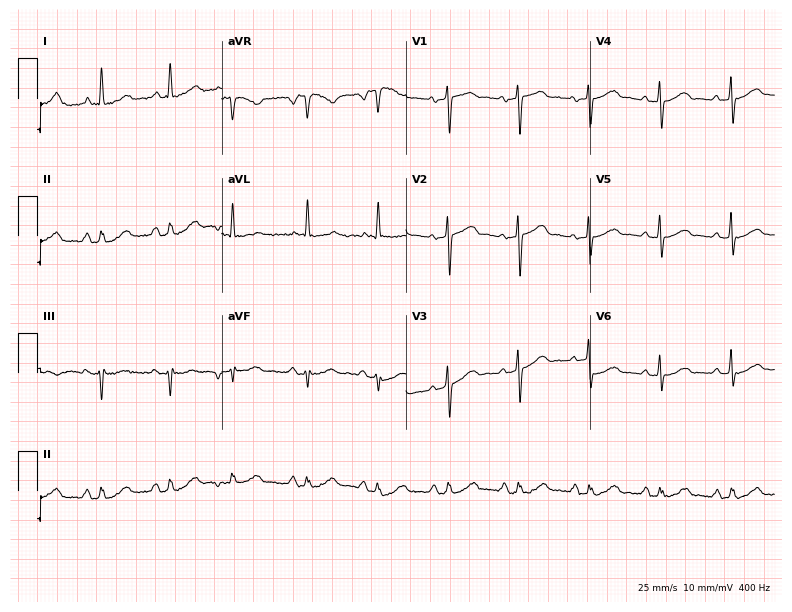
Standard 12-lead ECG recorded from a female patient, 85 years old. None of these six findings is recorded: first-degree AV block, right bundle branch block, left bundle branch block, sinus bradycardia, atrial fibrillation, sinus tachycardia.